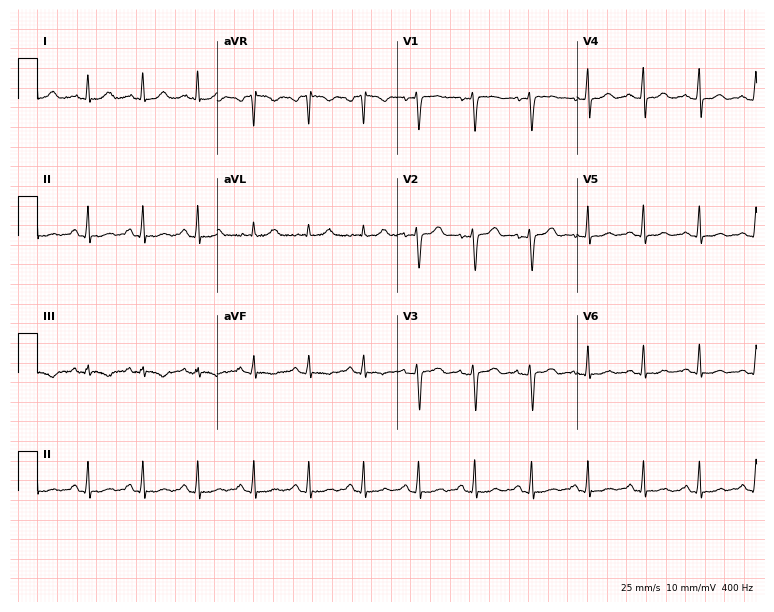
Standard 12-lead ECG recorded from a 41-year-old female (7.3-second recording at 400 Hz). The tracing shows sinus tachycardia (a sinus rate of 100 beats per minute or more).